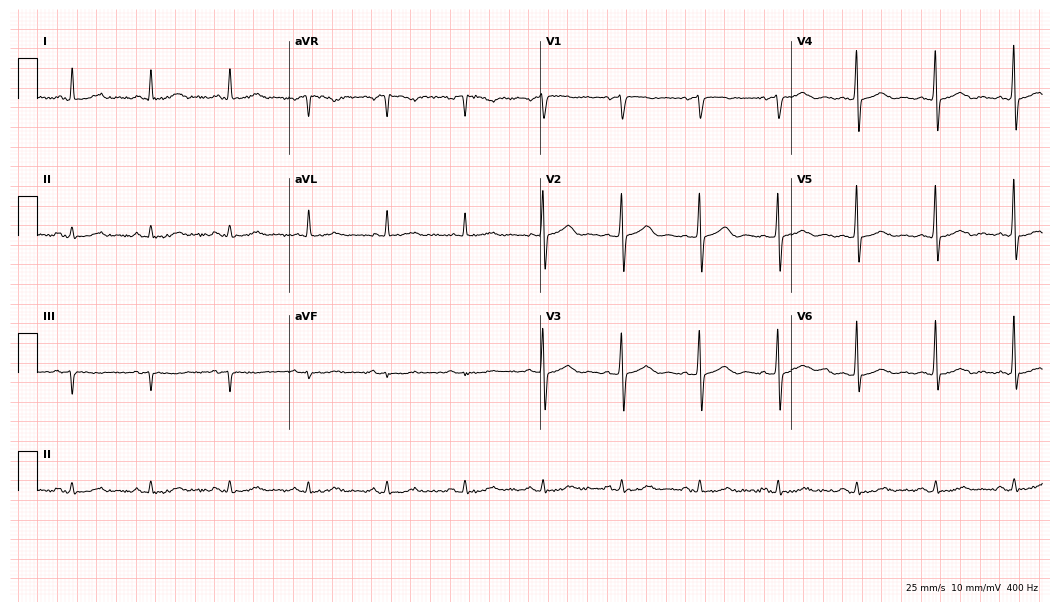
12-lead ECG from a male, 75 years old. Recorded interpretation: within normal limits.